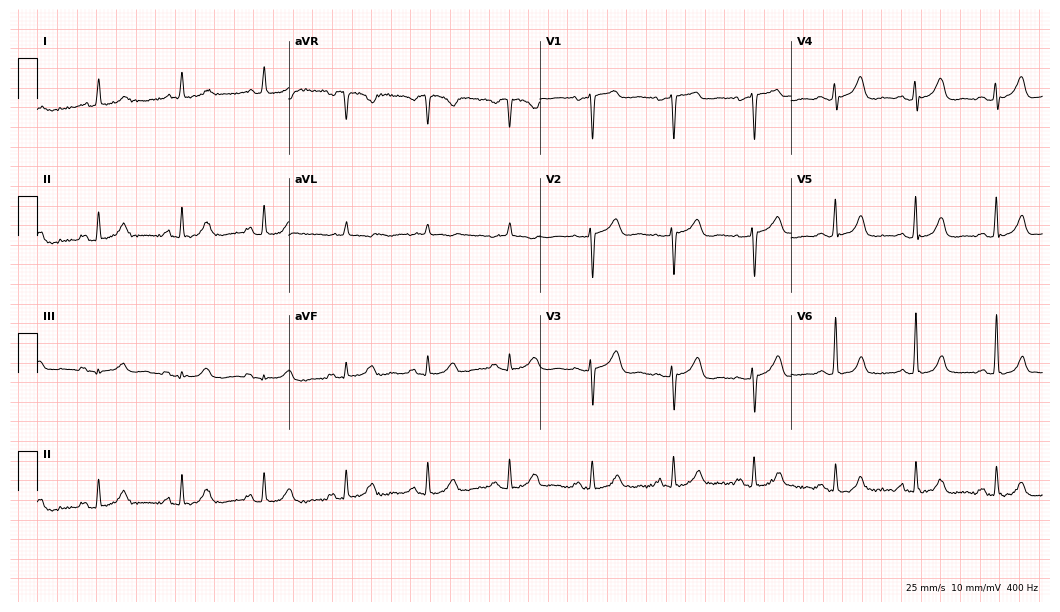
12-lead ECG (10.2-second recording at 400 Hz) from a female patient, 59 years old. Labelled as a normal ECG.